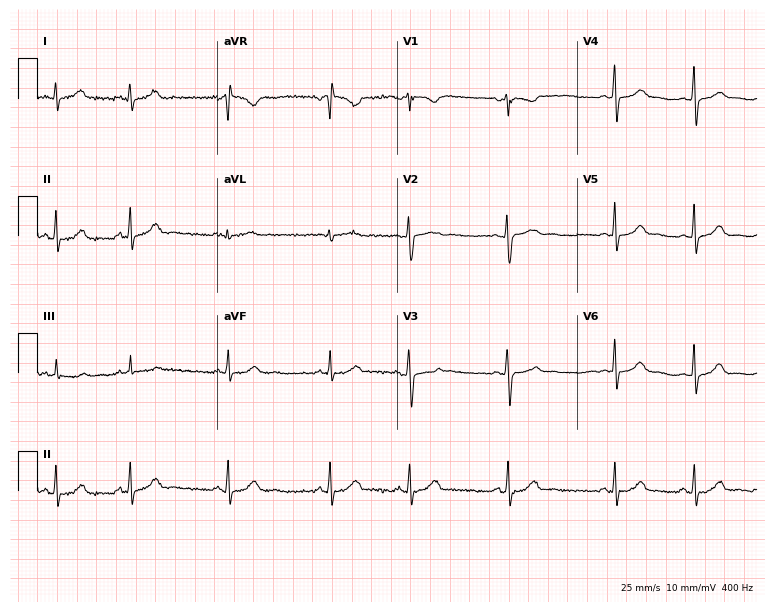
Resting 12-lead electrocardiogram. Patient: a woman, 21 years old. Read as a normal ECG.